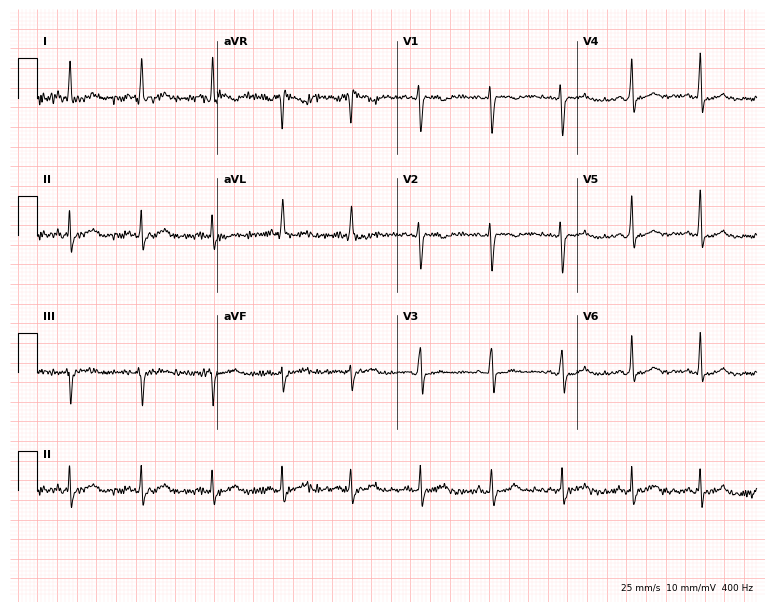
12-lead ECG (7.3-second recording at 400 Hz) from a woman, 47 years old. Labelled as a normal ECG.